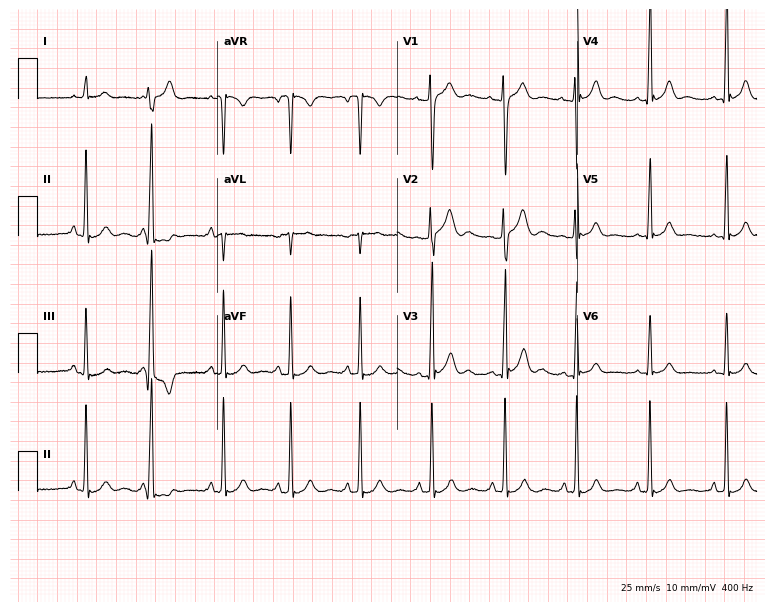
12-lead ECG from a 23-year-old male patient. No first-degree AV block, right bundle branch block, left bundle branch block, sinus bradycardia, atrial fibrillation or sinus tachycardia recorded for this tracing.